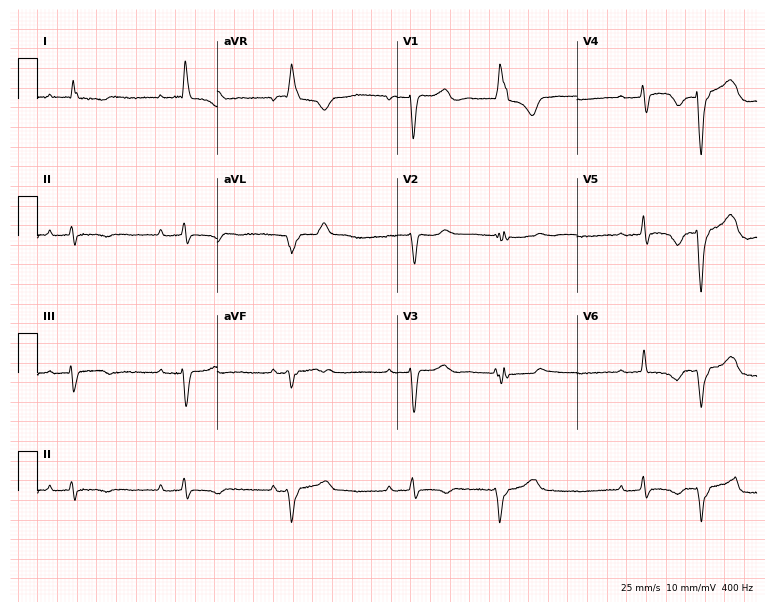
ECG — an 81-year-old female patient. Findings include first-degree AV block.